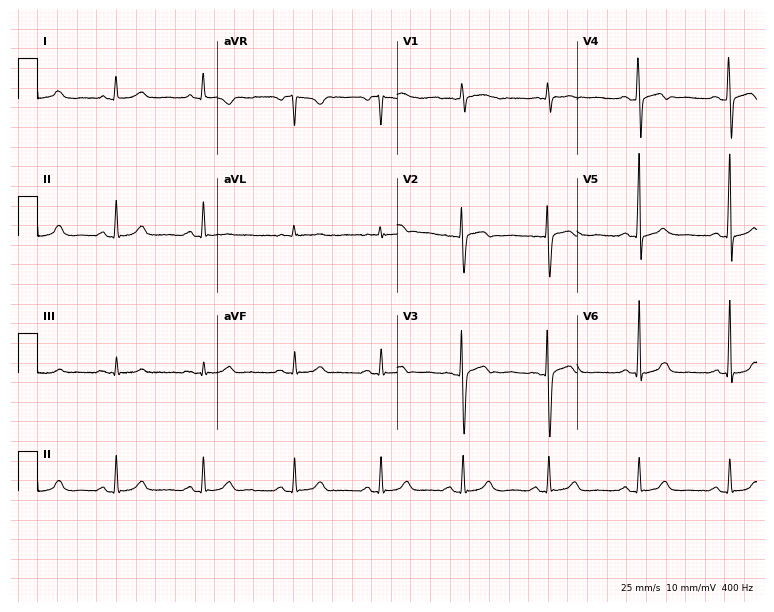
12-lead ECG (7.3-second recording at 400 Hz) from a woman, 41 years old. Labelled as a normal ECG.